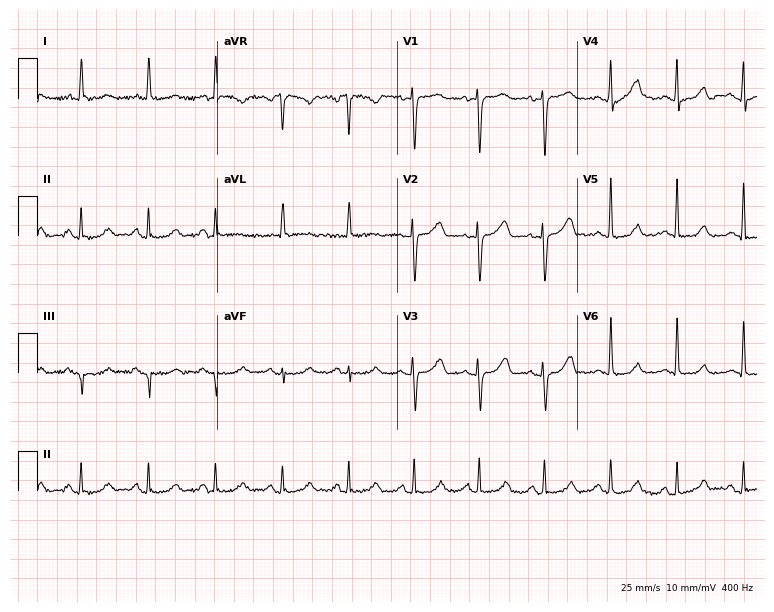
Electrocardiogram (7.3-second recording at 400 Hz), a female, 74 years old. Of the six screened findings (first-degree AV block, right bundle branch block, left bundle branch block, sinus bradycardia, atrial fibrillation, sinus tachycardia), none is recorded.